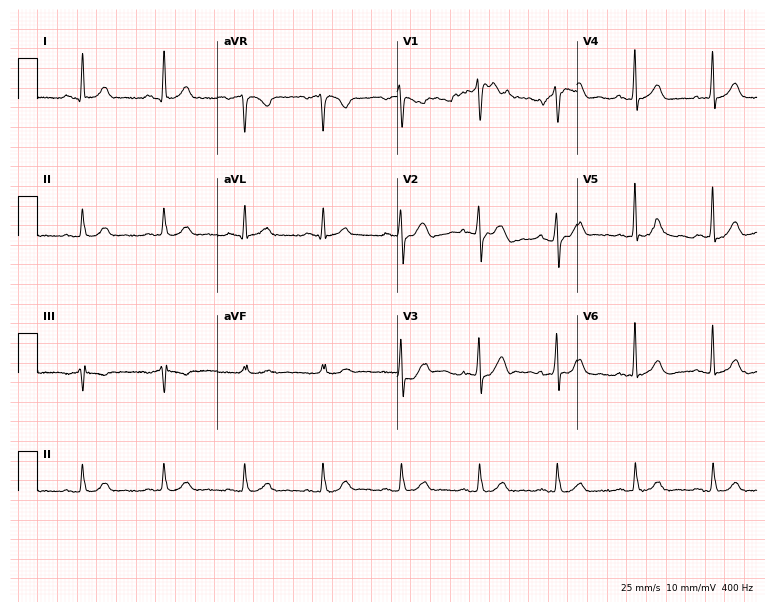
Standard 12-lead ECG recorded from a male patient, 55 years old (7.3-second recording at 400 Hz). Read as a normal ECG.